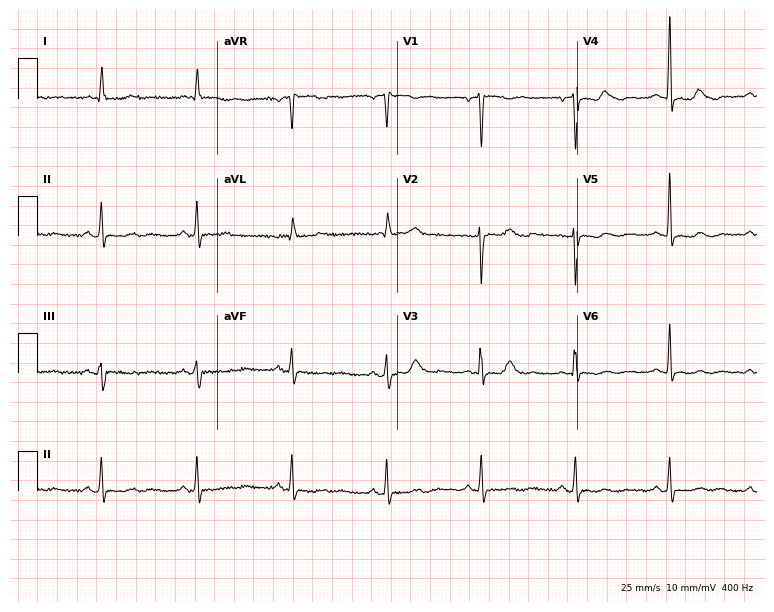
12-lead ECG from a 57-year-old female patient (7.3-second recording at 400 Hz). No first-degree AV block, right bundle branch block, left bundle branch block, sinus bradycardia, atrial fibrillation or sinus tachycardia recorded for this tracing. Findings outside these six are not listed.